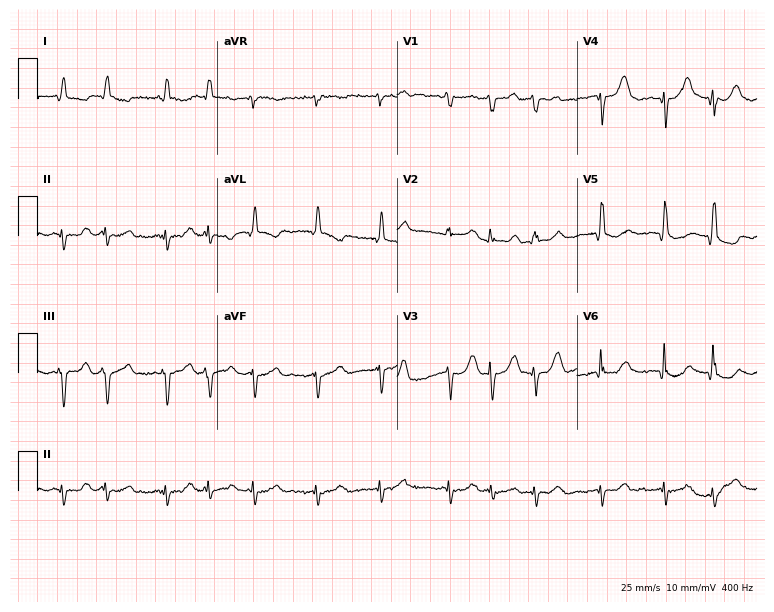
ECG — an 85-year-old man. Screened for six findings — first-degree AV block, right bundle branch block (RBBB), left bundle branch block (LBBB), sinus bradycardia, atrial fibrillation (AF), sinus tachycardia — none is recorded.